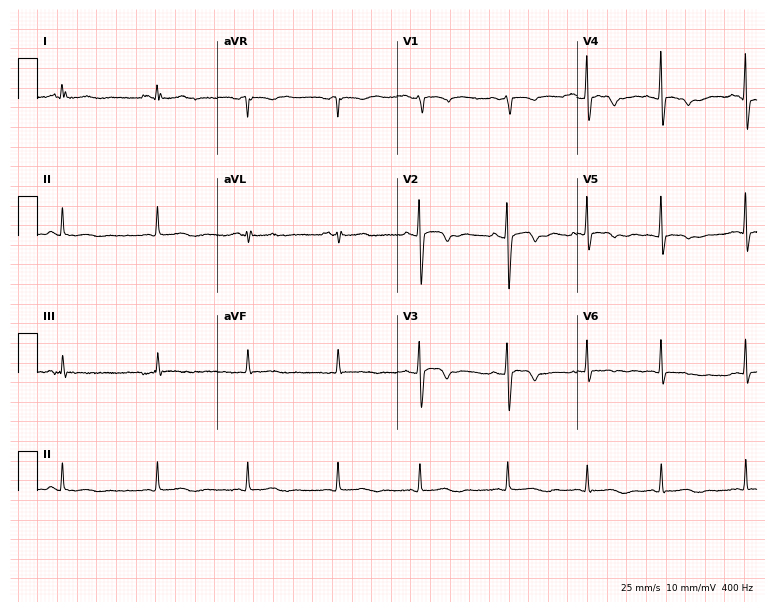
ECG — a female, 26 years old. Screened for six findings — first-degree AV block, right bundle branch block (RBBB), left bundle branch block (LBBB), sinus bradycardia, atrial fibrillation (AF), sinus tachycardia — none is recorded.